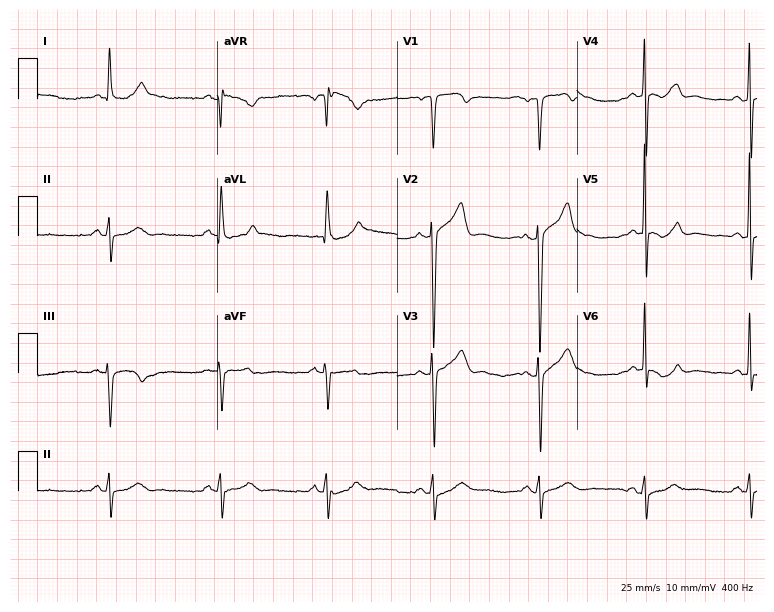
Standard 12-lead ECG recorded from a 60-year-old man (7.3-second recording at 400 Hz). None of these six findings is recorded: first-degree AV block, right bundle branch block (RBBB), left bundle branch block (LBBB), sinus bradycardia, atrial fibrillation (AF), sinus tachycardia.